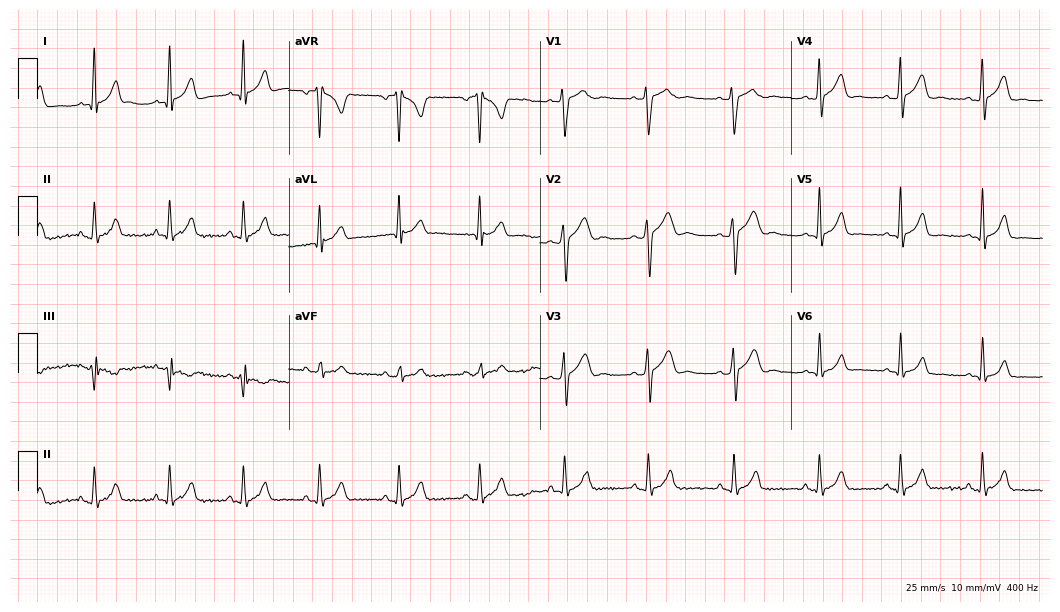
12-lead ECG from a man, 18 years old (10.2-second recording at 400 Hz). Recorded interpretation: within normal limits.